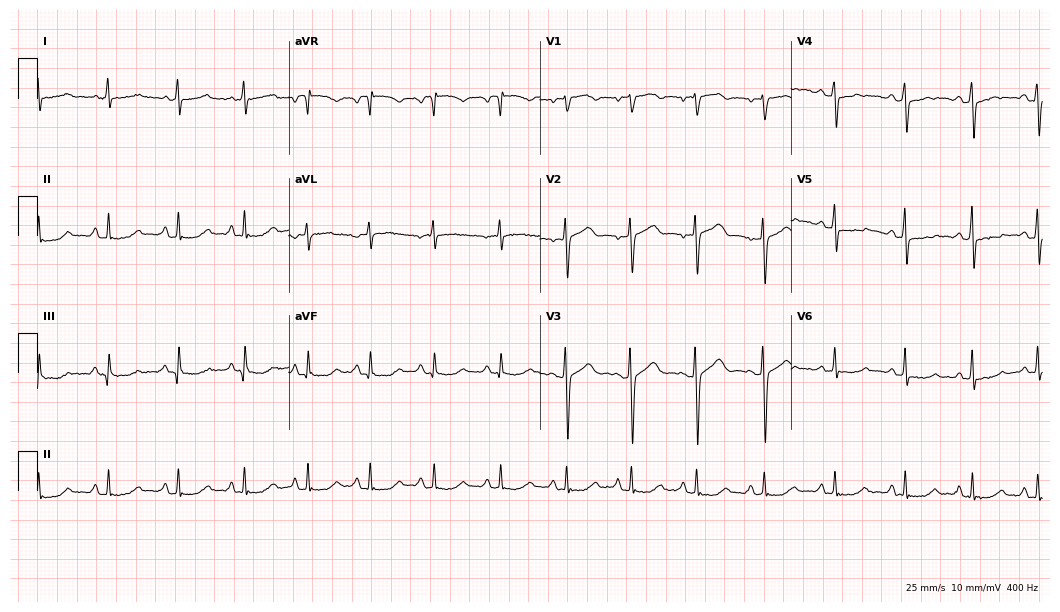
Electrocardiogram, a 40-year-old female. Overall reading on record: normal ECG.